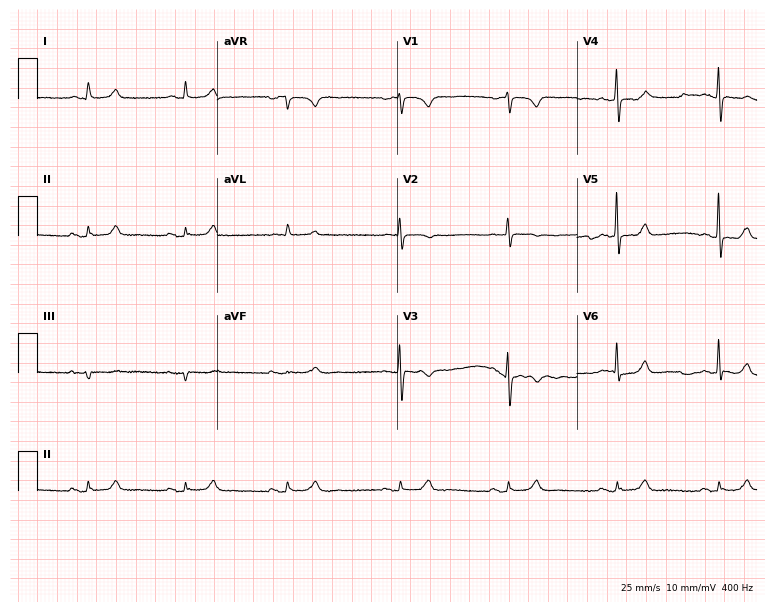
ECG — a 77-year-old female. Screened for six findings — first-degree AV block, right bundle branch block, left bundle branch block, sinus bradycardia, atrial fibrillation, sinus tachycardia — none is recorded.